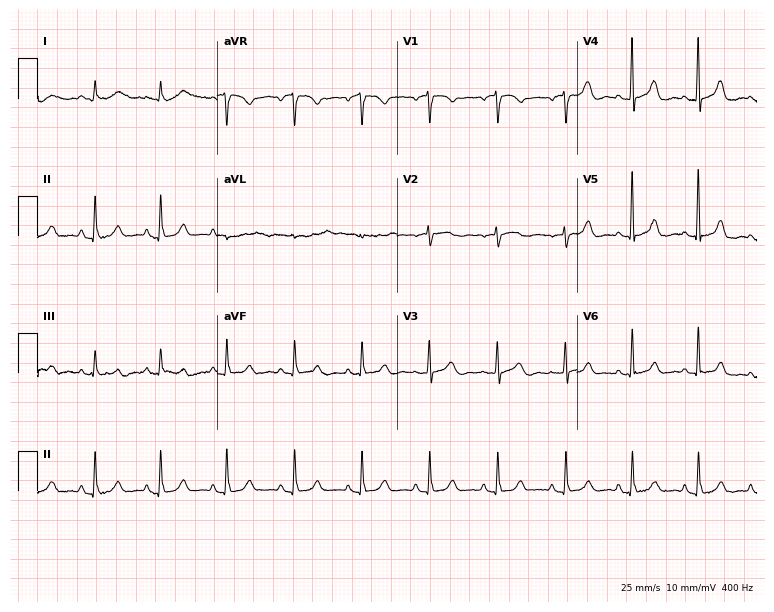
ECG — a female, 84 years old. Screened for six findings — first-degree AV block, right bundle branch block, left bundle branch block, sinus bradycardia, atrial fibrillation, sinus tachycardia — none is recorded.